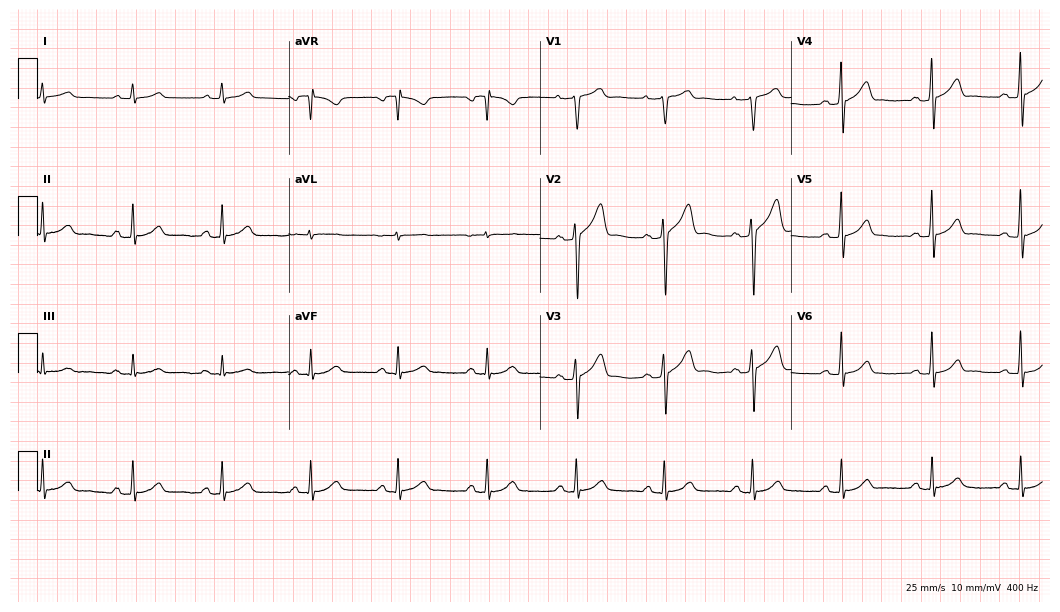
Electrocardiogram, a male, 60 years old. Overall reading on record: normal ECG.